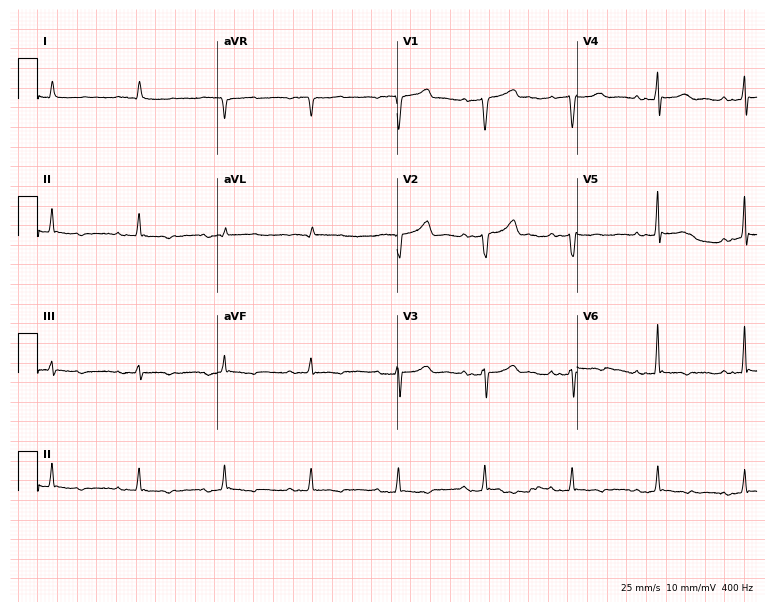
12-lead ECG (7.3-second recording at 400 Hz) from a 70-year-old male. Screened for six findings — first-degree AV block, right bundle branch block (RBBB), left bundle branch block (LBBB), sinus bradycardia, atrial fibrillation (AF), sinus tachycardia — none is recorded.